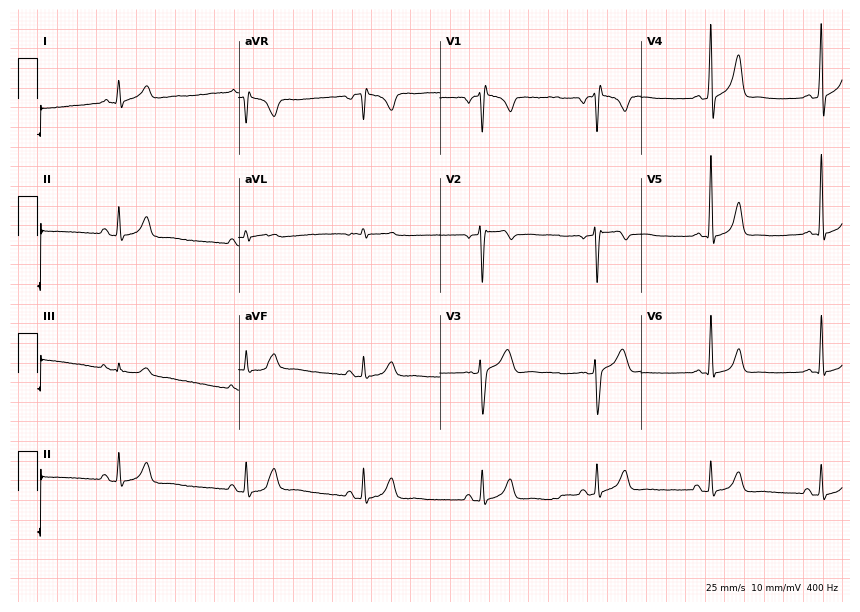
12-lead ECG (8.2-second recording at 400 Hz) from a male patient, 46 years old. Screened for six findings — first-degree AV block, right bundle branch block, left bundle branch block, sinus bradycardia, atrial fibrillation, sinus tachycardia — none is recorded. Only these six findings were labelled.